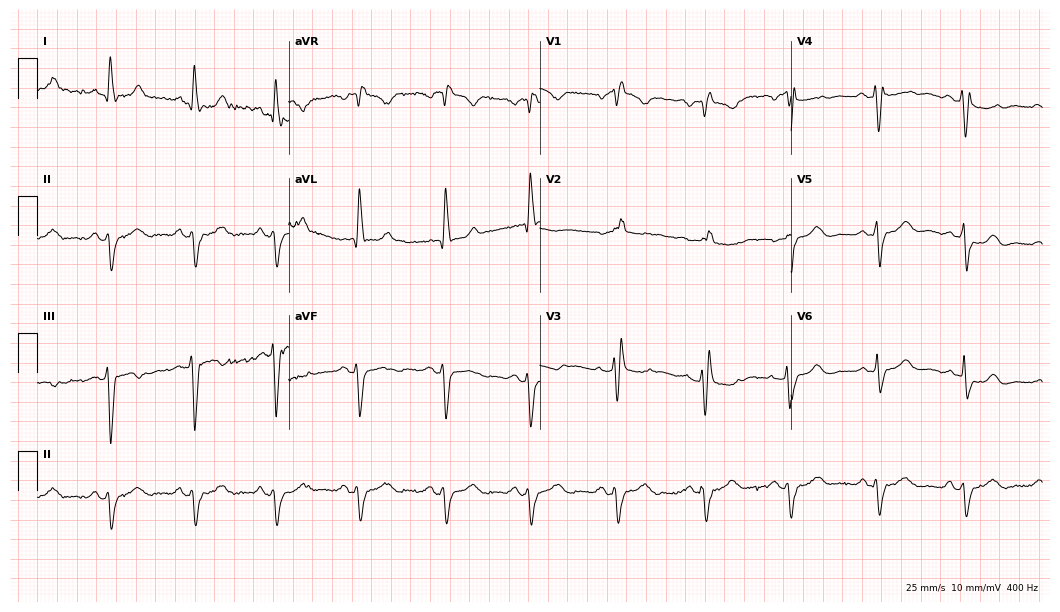
Standard 12-lead ECG recorded from an 83-year-old woman. The tracing shows right bundle branch block (RBBB).